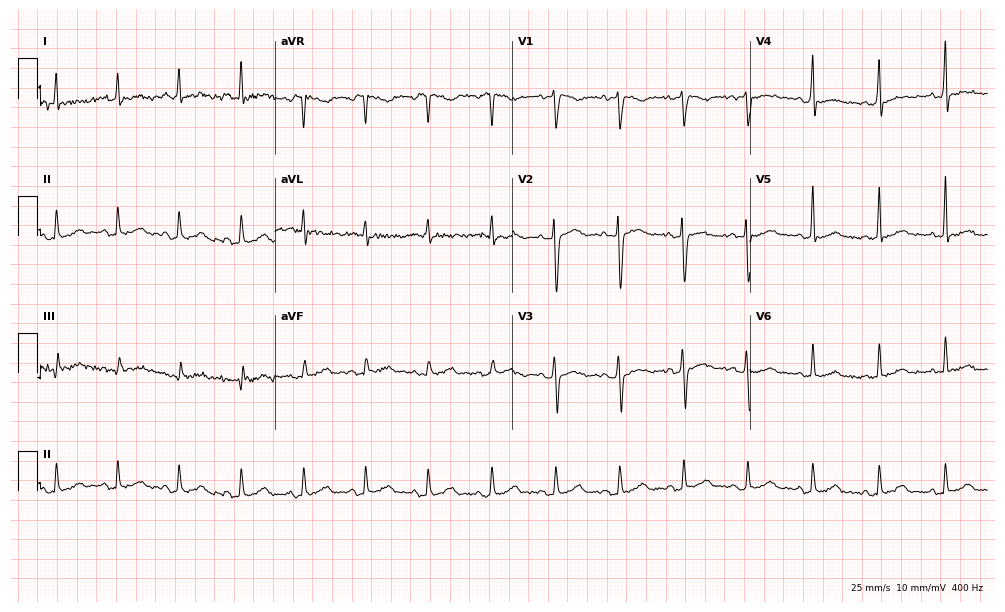
Electrocardiogram, a male patient, 34 years old. Of the six screened findings (first-degree AV block, right bundle branch block (RBBB), left bundle branch block (LBBB), sinus bradycardia, atrial fibrillation (AF), sinus tachycardia), none is recorded. Other findings, if any, are not listed.